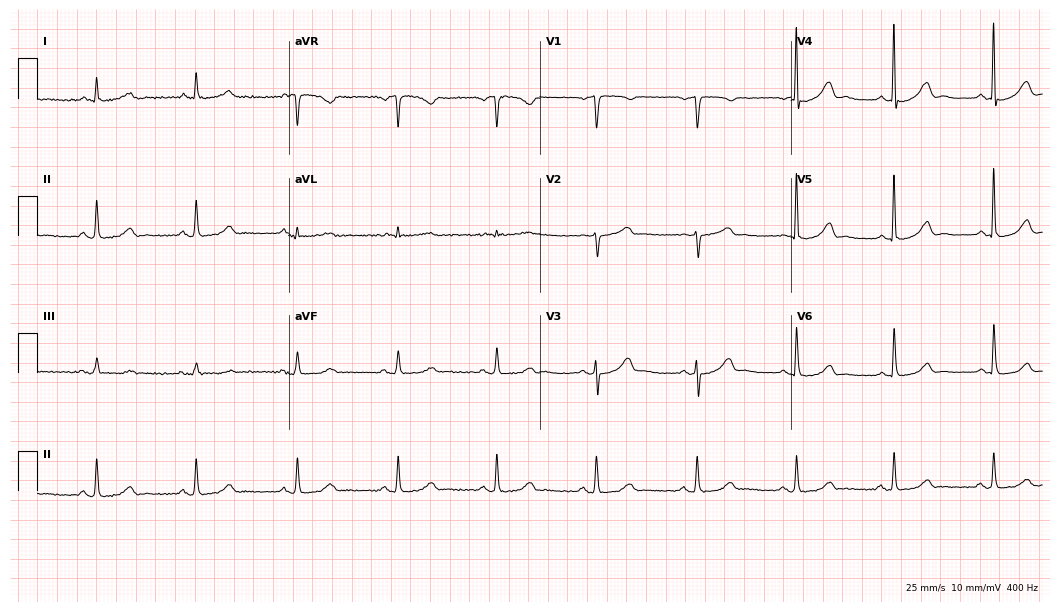
Standard 12-lead ECG recorded from a 73-year-old female. Read as a normal ECG.